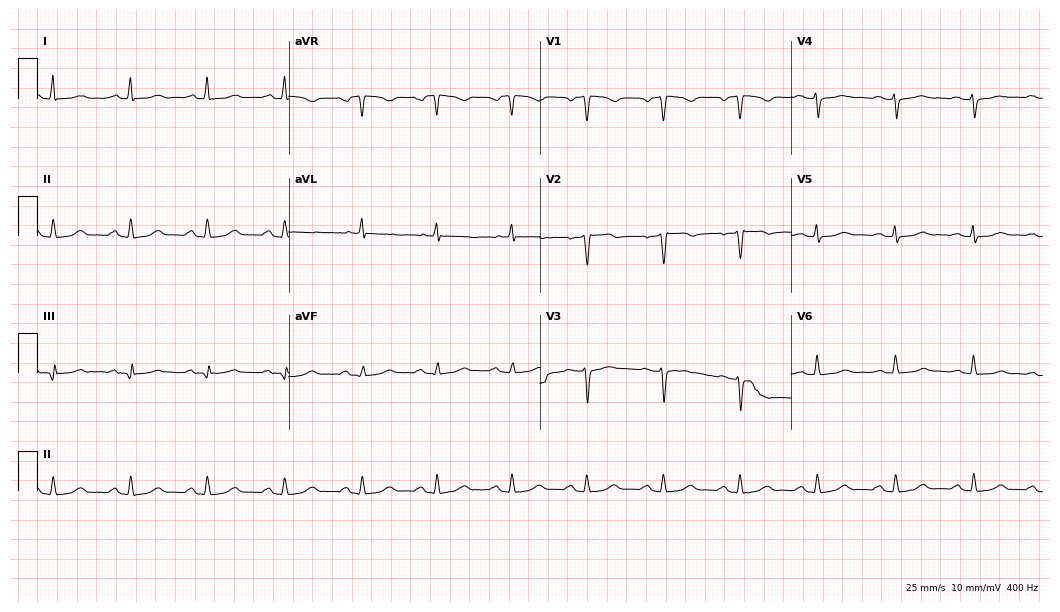
ECG — a woman, 49 years old. Labelled as a normal ECG.